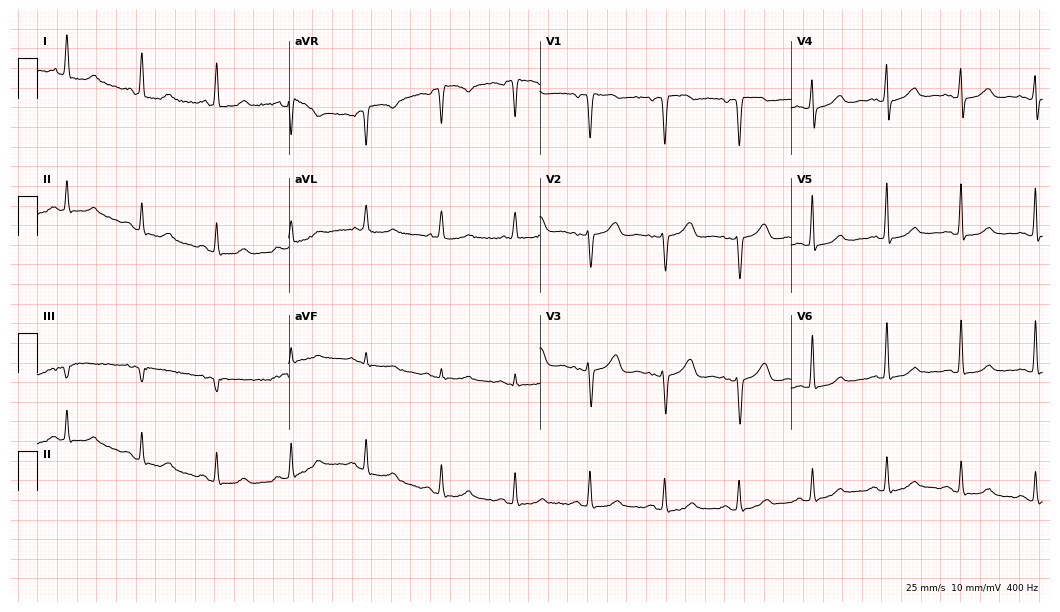
ECG (10.2-second recording at 400 Hz) — a 55-year-old female patient. Screened for six findings — first-degree AV block, right bundle branch block, left bundle branch block, sinus bradycardia, atrial fibrillation, sinus tachycardia — none is recorded.